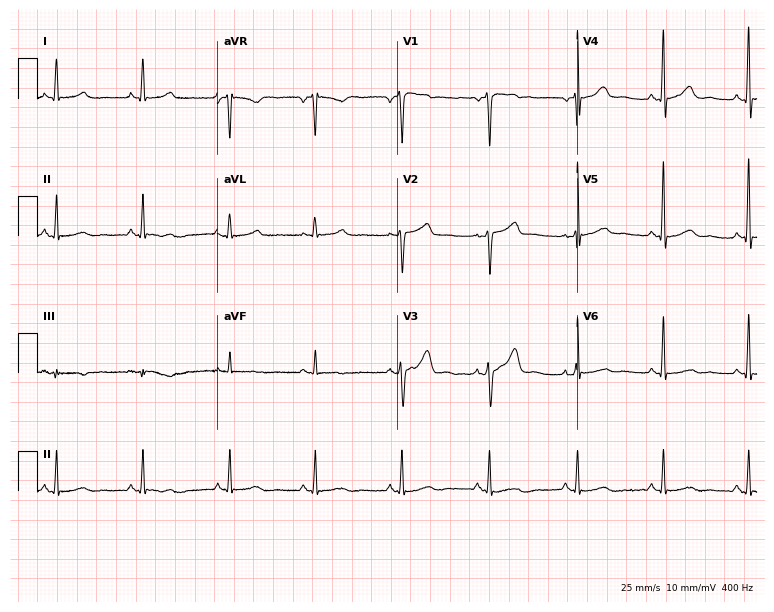
Resting 12-lead electrocardiogram. Patient: a man, 48 years old. Read as a normal ECG.